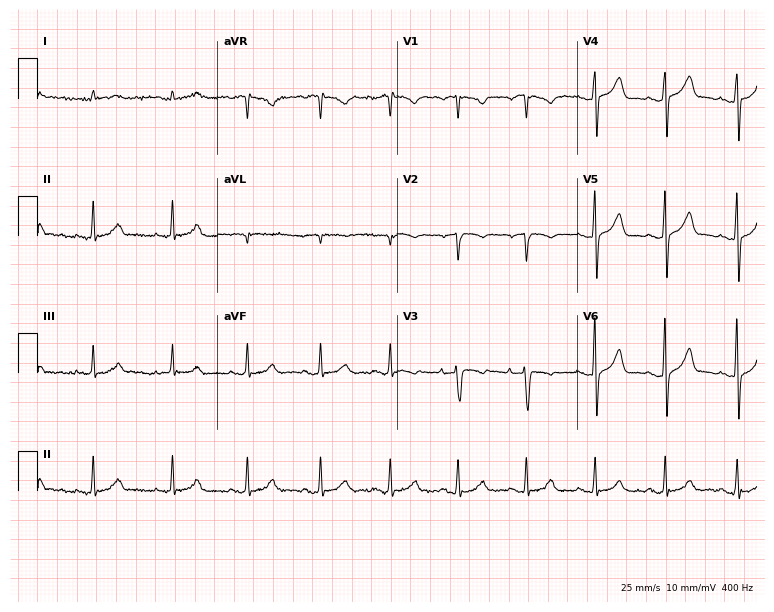
Resting 12-lead electrocardiogram. Patient: a female, 63 years old. None of these six findings is recorded: first-degree AV block, right bundle branch block, left bundle branch block, sinus bradycardia, atrial fibrillation, sinus tachycardia.